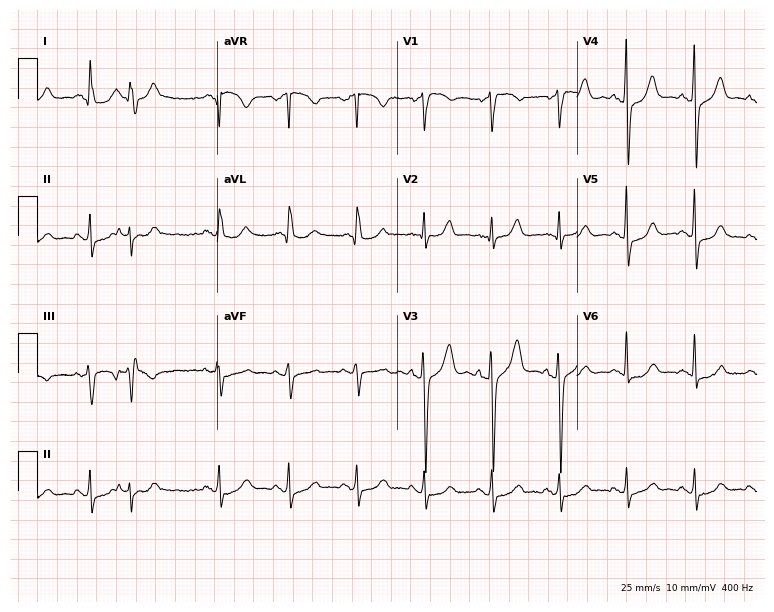
12-lead ECG from a 73-year-old woman. Screened for six findings — first-degree AV block, right bundle branch block (RBBB), left bundle branch block (LBBB), sinus bradycardia, atrial fibrillation (AF), sinus tachycardia — none is recorded. Other findings, if any, are not listed.